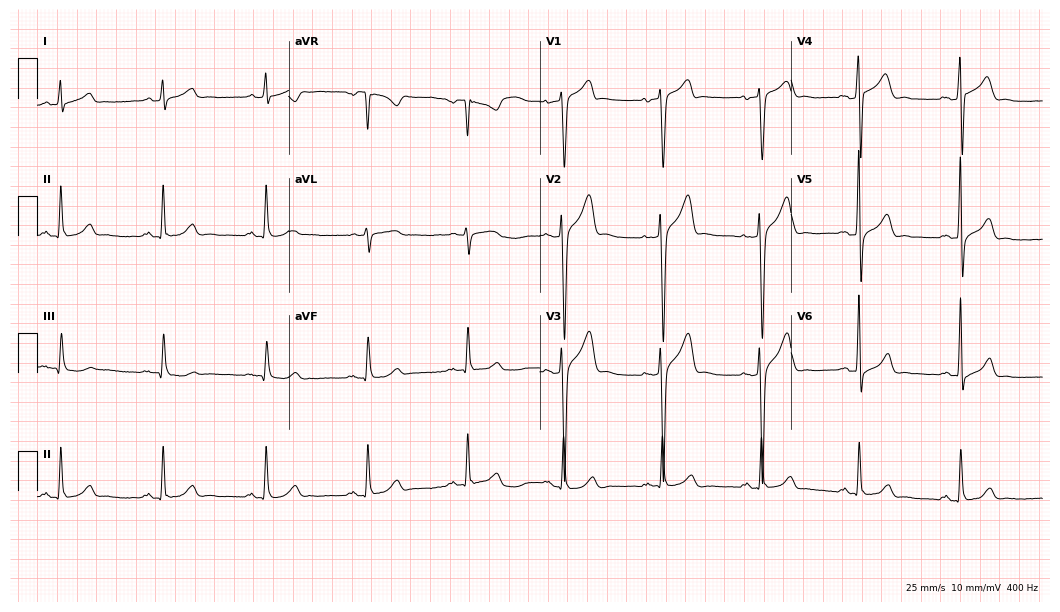
Standard 12-lead ECG recorded from a man, 42 years old (10.2-second recording at 400 Hz). None of these six findings is recorded: first-degree AV block, right bundle branch block (RBBB), left bundle branch block (LBBB), sinus bradycardia, atrial fibrillation (AF), sinus tachycardia.